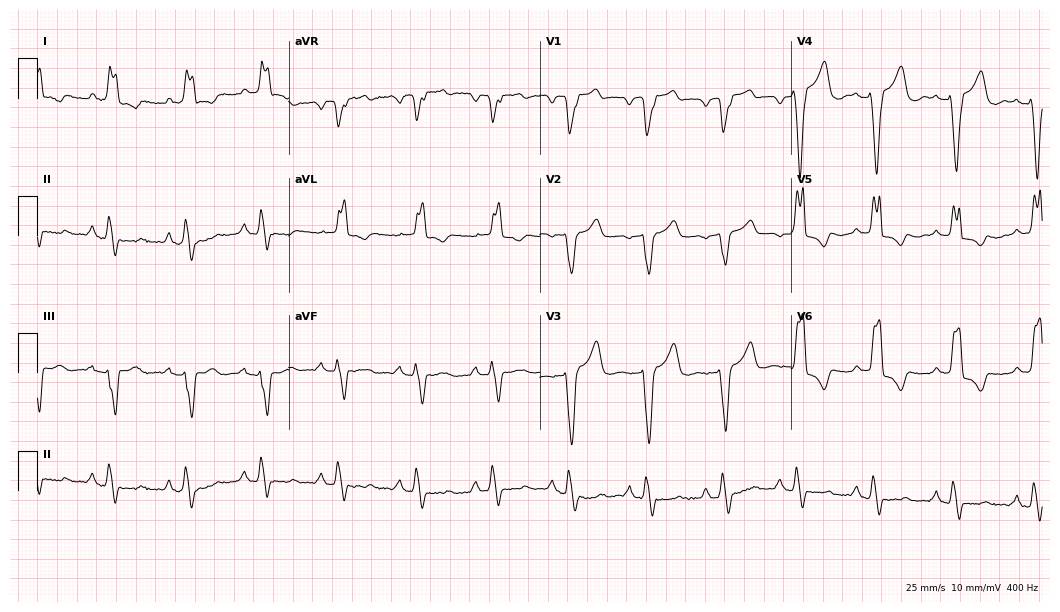
12-lead ECG (10.2-second recording at 400 Hz) from a 55-year-old female patient. Findings include left bundle branch block (LBBB).